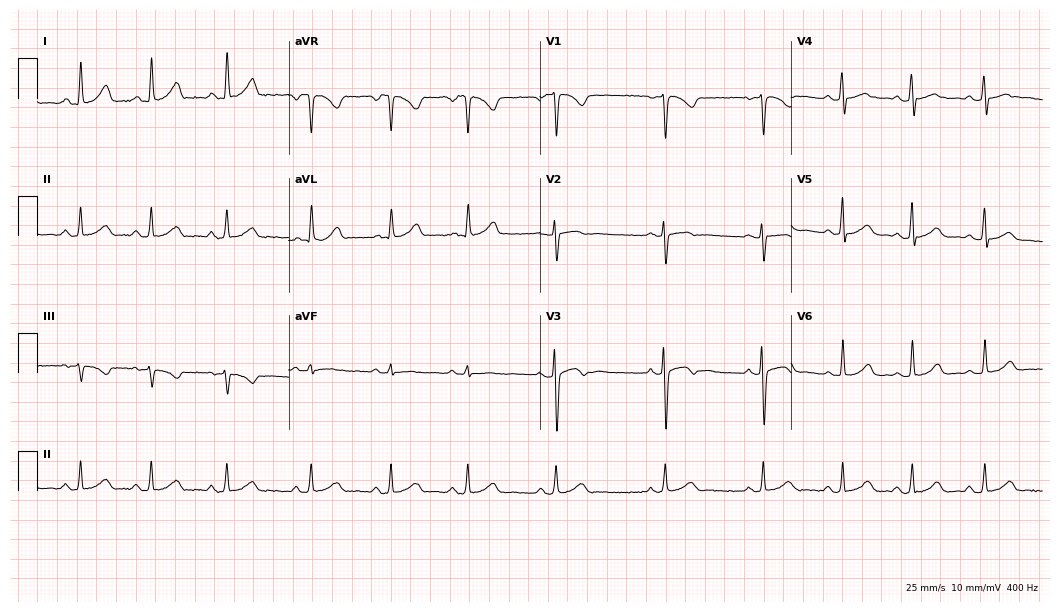
Electrocardiogram, a 23-year-old female. Of the six screened findings (first-degree AV block, right bundle branch block (RBBB), left bundle branch block (LBBB), sinus bradycardia, atrial fibrillation (AF), sinus tachycardia), none is recorded.